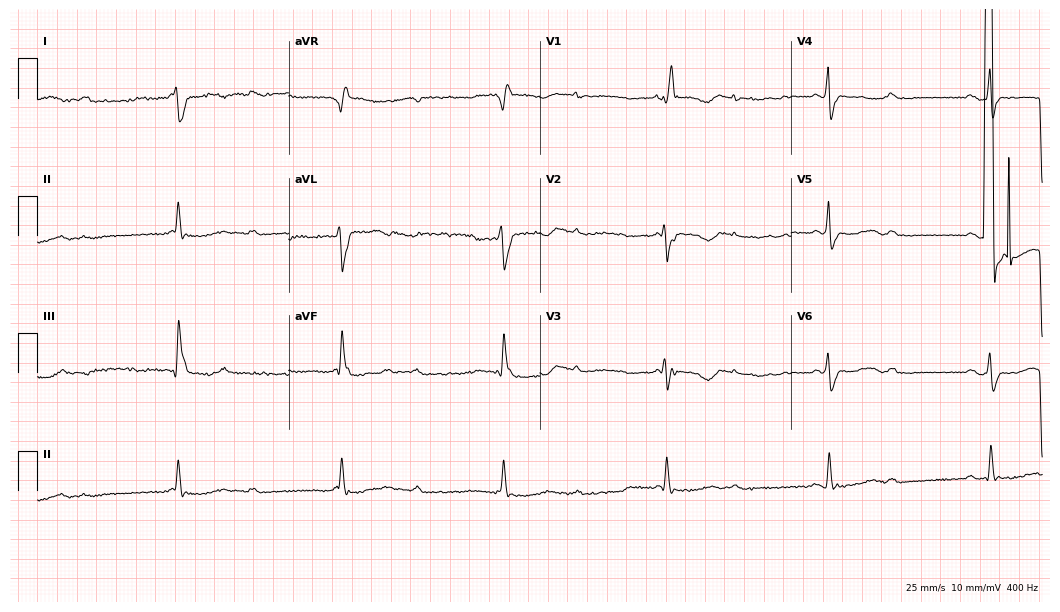
Electrocardiogram, a female patient, 39 years old. Interpretation includes right bundle branch block (RBBB).